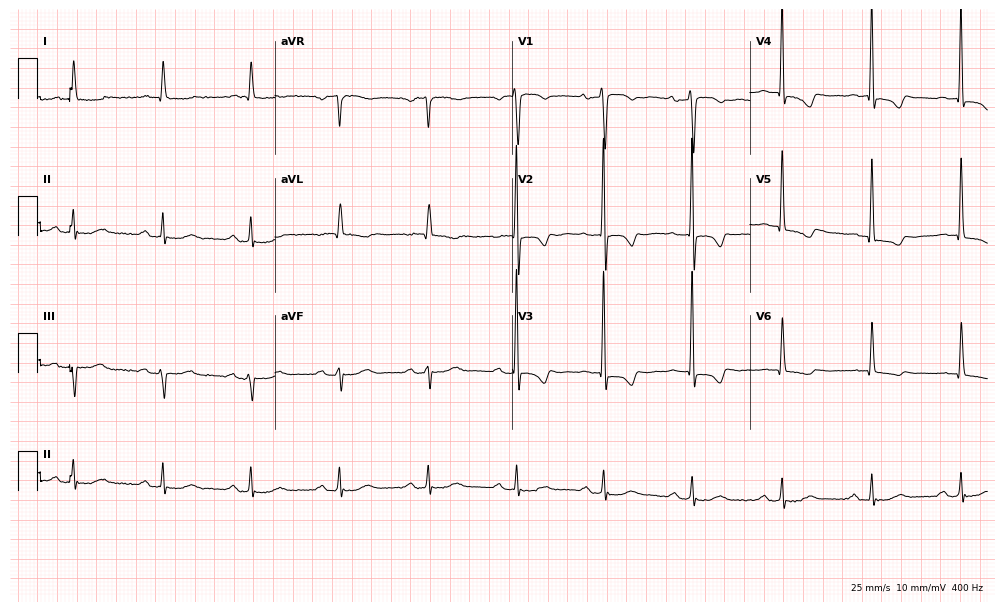
Resting 12-lead electrocardiogram (9.7-second recording at 400 Hz). Patient: a woman, 84 years old. None of these six findings is recorded: first-degree AV block, right bundle branch block (RBBB), left bundle branch block (LBBB), sinus bradycardia, atrial fibrillation (AF), sinus tachycardia.